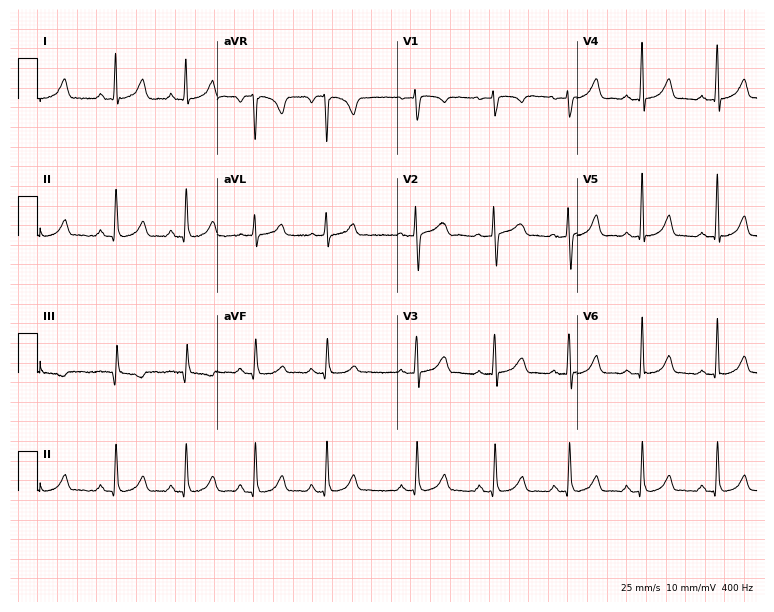
Standard 12-lead ECG recorded from a 37-year-old woman. Read as a normal ECG.